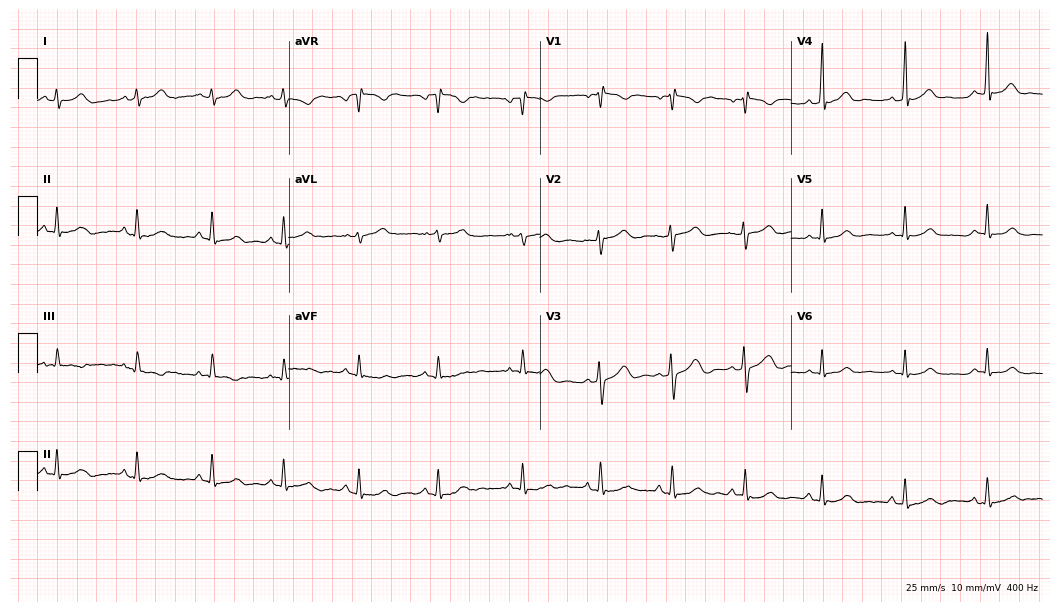
Electrocardiogram (10.2-second recording at 400 Hz), a female, 17 years old. Of the six screened findings (first-degree AV block, right bundle branch block (RBBB), left bundle branch block (LBBB), sinus bradycardia, atrial fibrillation (AF), sinus tachycardia), none is recorded. Only these six findings were labelled.